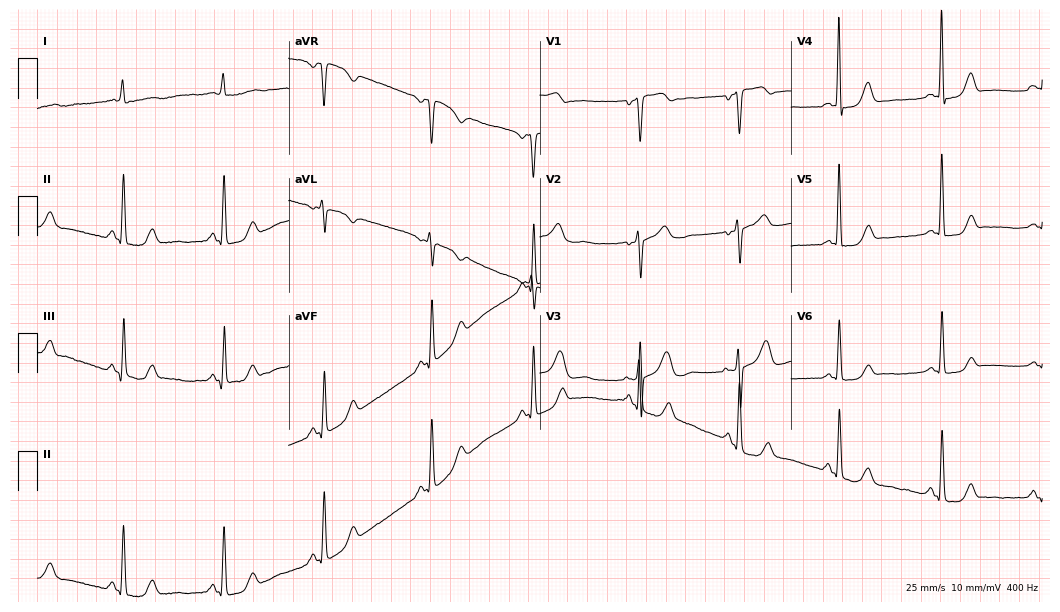
12-lead ECG from a female patient, 68 years old. No first-degree AV block, right bundle branch block, left bundle branch block, sinus bradycardia, atrial fibrillation or sinus tachycardia recorded for this tracing.